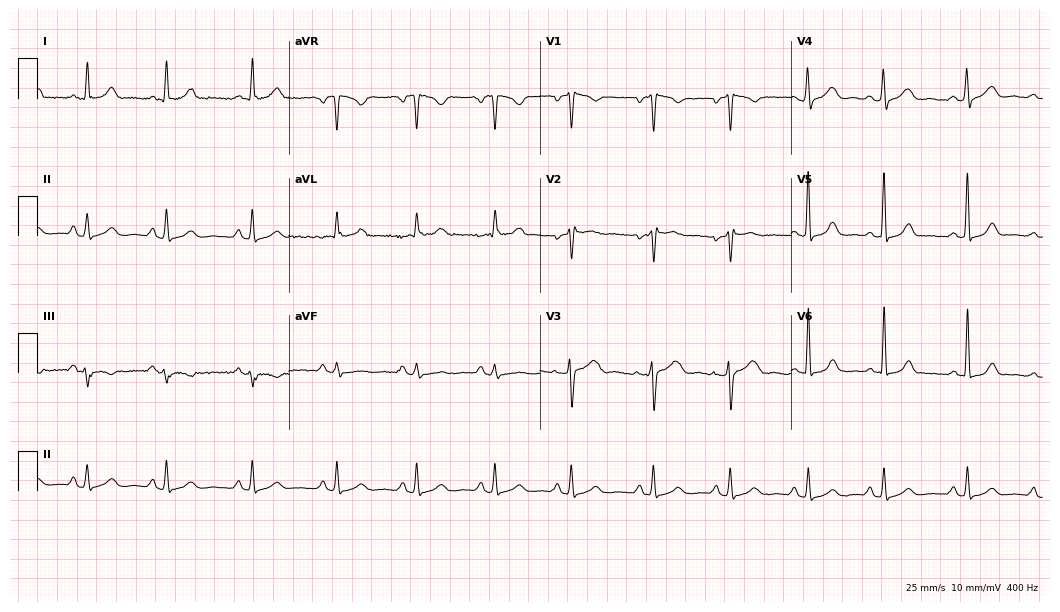
12-lead ECG from a 40-year-old female patient. No first-degree AV block, right bundle branch block, left bundle branch block, sinus bradycardia, atrial fibrillation or sinus tachycardia recorded for this tracing. Findings outside these six are not listed.